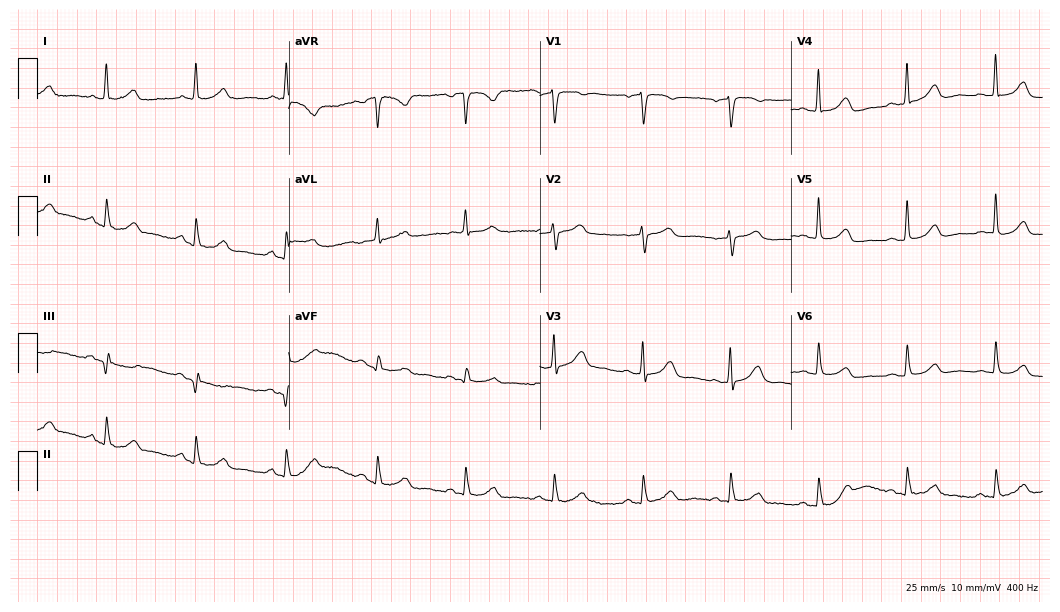
Electrocardiogram (10.2-second recording at 400 Hz), an 80-year-old female. Overall reading on record: normal ECG.